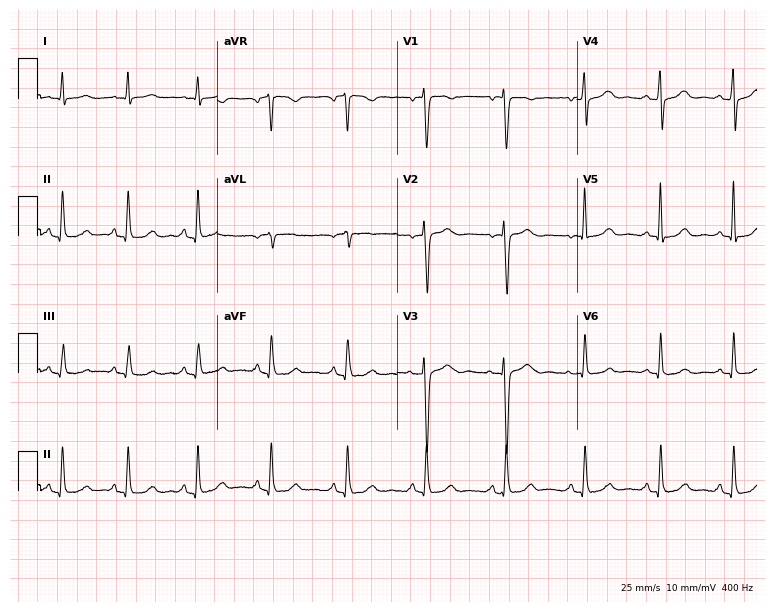
Resting 12-lead electrocardiogram (7.3-second recording at 400 Hz). Patient: a woman, 44 years old. Read as a normal ECG.